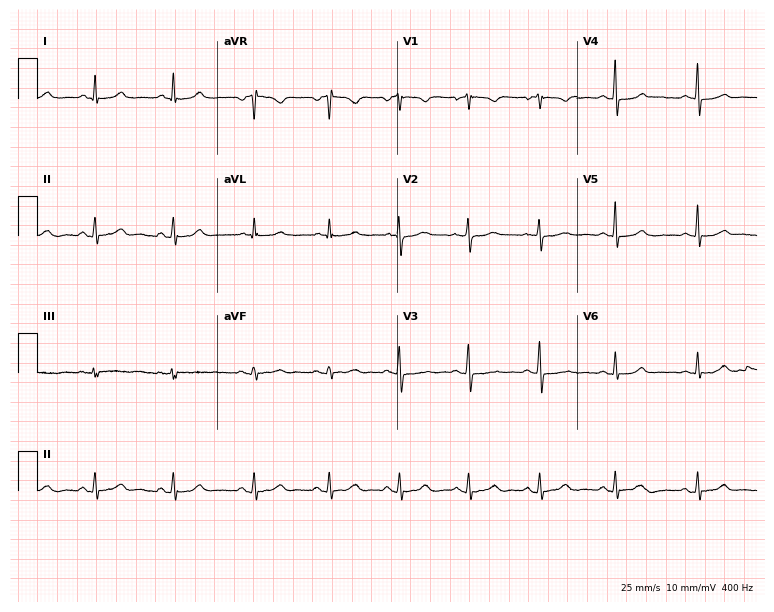
ECG — a 41-year-old woman. Labelled as a normal ECG.